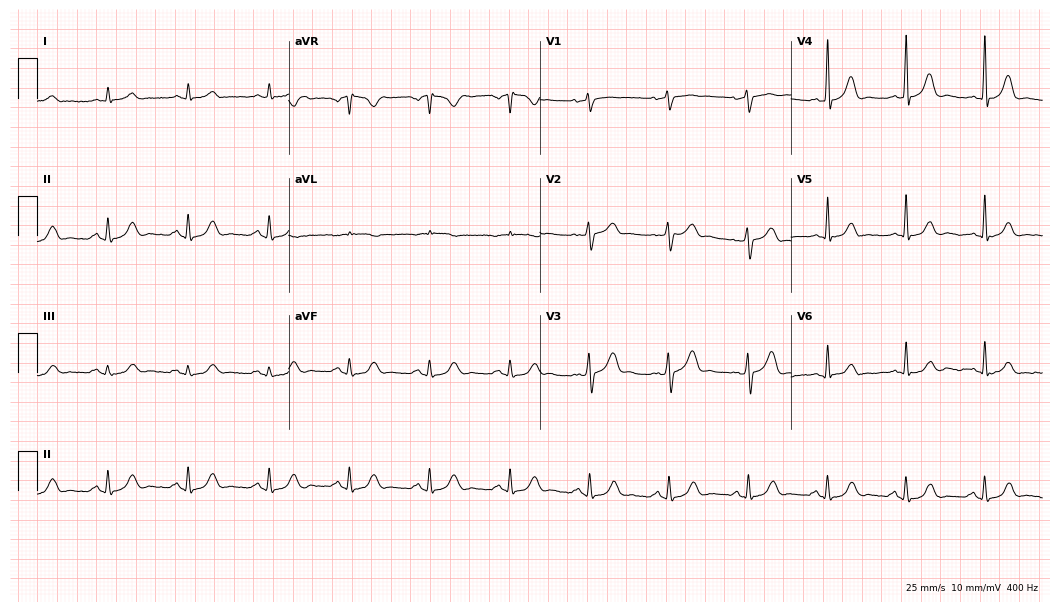
12-lead ECG from a male, 81 years old. Recorded interpretation: within normal limits.